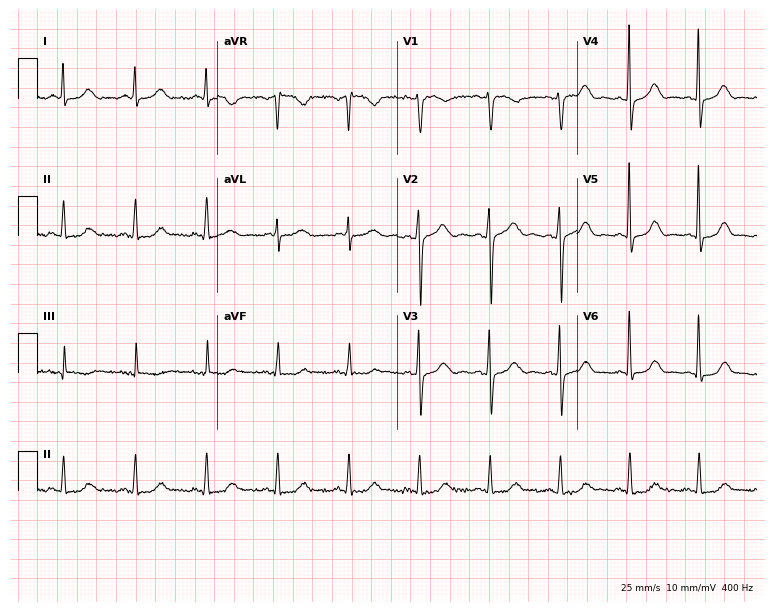
12-lead ECG (7.3-second recording at 400 Hz) from a 53-year-old female. Labelled as a normal ECG.